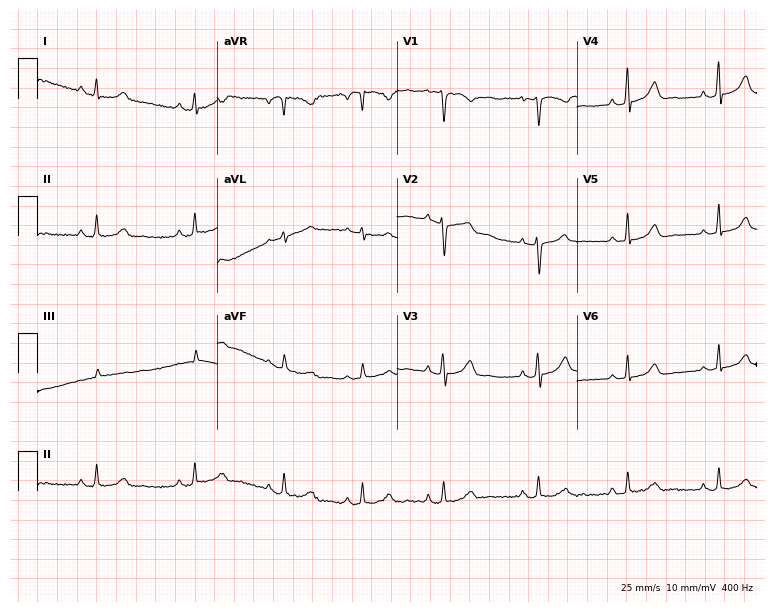
ECG (7.3-second recording at 400 Hz) — a 24-year-old woman. Screened for six findings — first-degree AV block, right bundle branch block (RBBB), left bundle branch block (LBBB), sinus bradycardia, atrial fibrillation (AF), sinus tachycardia — none is recorded.